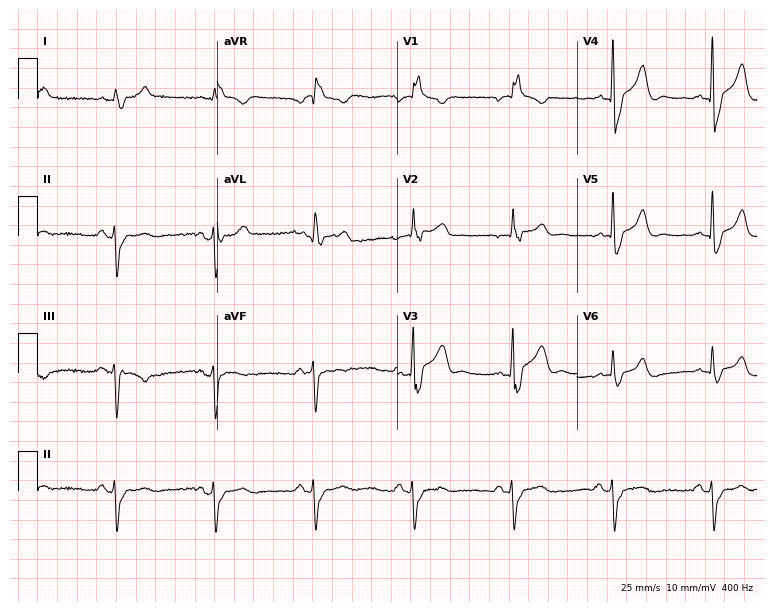
12-lead ECG (7.3-second recording at 400 Hz) from a male patient, 84 years old. Findings include right bundle branch block (RBBB).